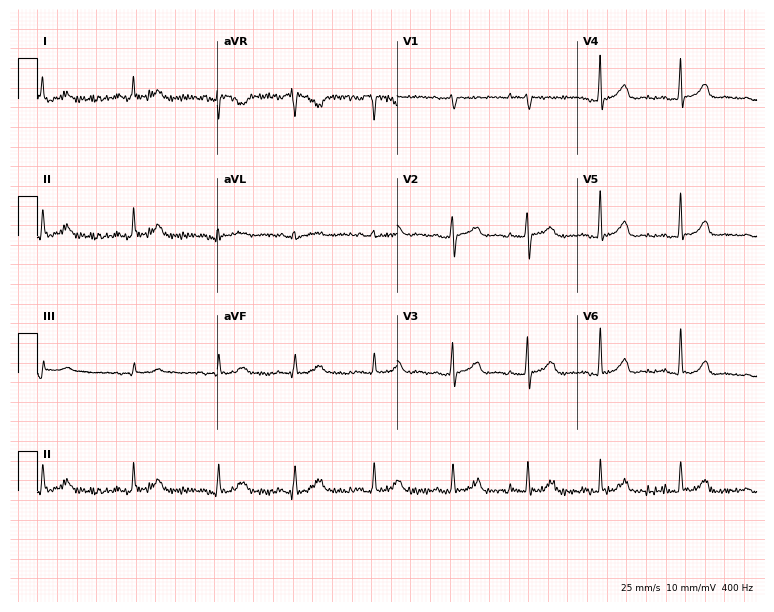
Resting 12-lead electrocardiogram. Patient: a 30-year-old female. None of these six findings is recorded: first-degree AV block, right bundle branch block, left bundle branch block, sinus bradycardia, atrial fibrillation, sinus tachycardia.